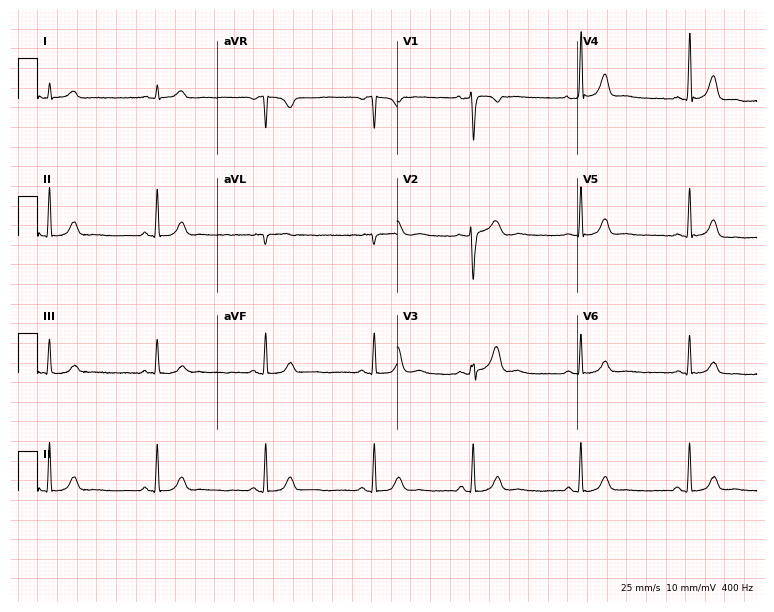
ECG (7.3-second recording at 400 Hz) — a 29-year-old female. Labelled as a normal ECG.